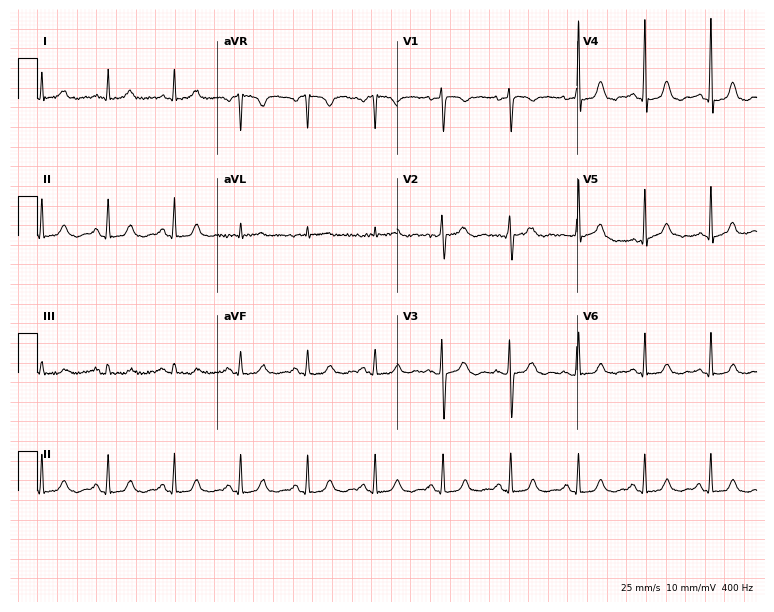
Standard 12-lead ECG recorded from a female patient, 47 years old. None of these six findings is recorded: first-degree AV block, right bundle branch block, left bundle branch block, sinus bradycardia, atrial fibrillation, sinus tachycardia.